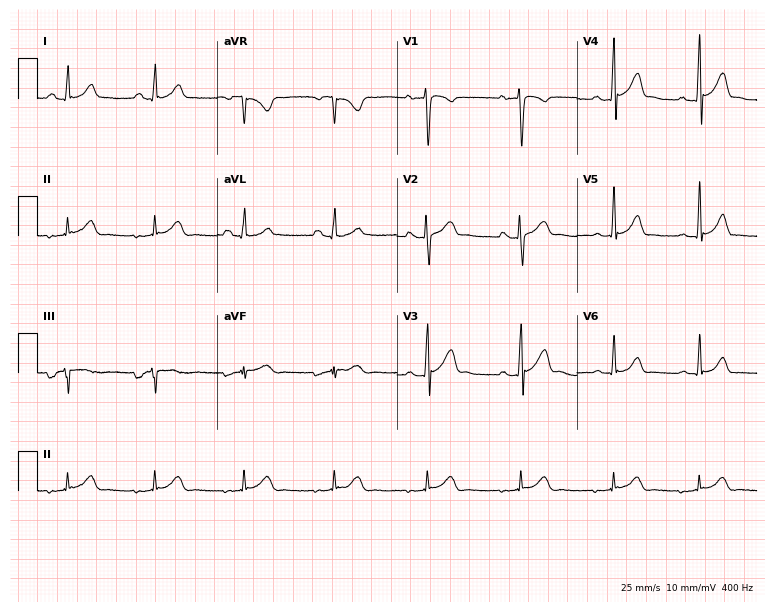
12-lead ECG from a woman, 22 years old (7.3-second recording at 400 Hz). No first-degree AV block, right bundle branch block, left bundle branch block, sinus bradycardia, atrial fibrillation or sinus tachycardia recorded for this tracing.